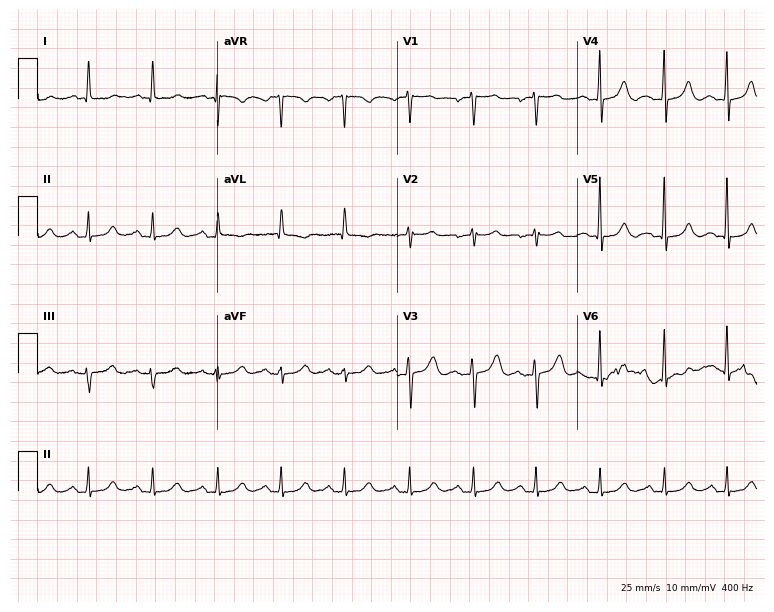
12-lead ECG (7.3-second recording at 400 Hz) from a female, 77 years old. Labelled as a normal ECG.